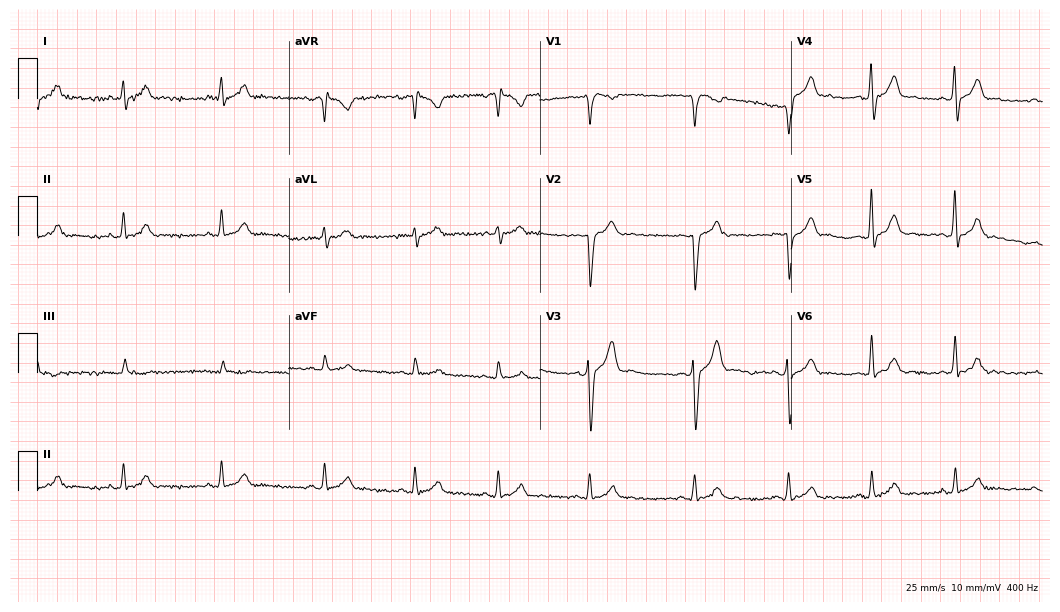
12-lead ECG from a male, 35 years old (10.2-second recording at 400 Hz). Recorded interpretation: within normal limits.